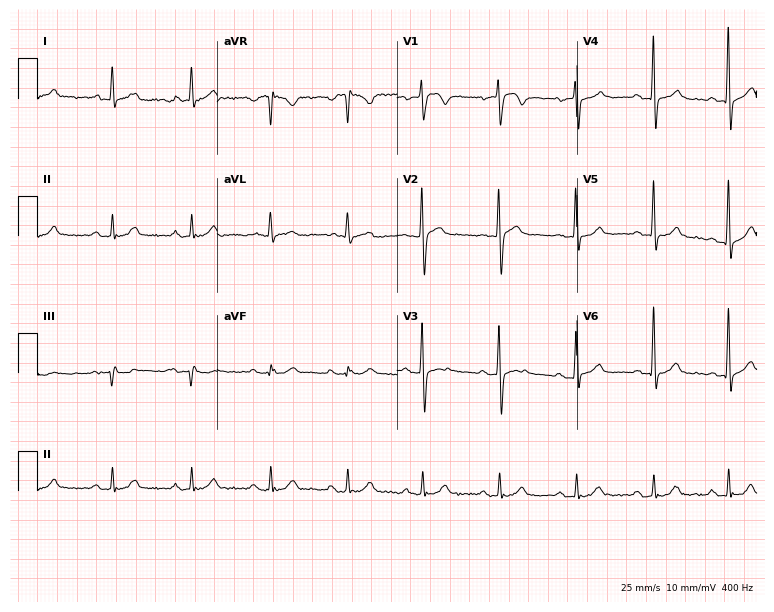
12-lead ECG from a male, 71 years old. Screened for six findings — first-degree AV block, right bundle branch block, left bundle branch block, sinus bradycardia, atrial fibrillation, sinus tachycardia — none is recorded.